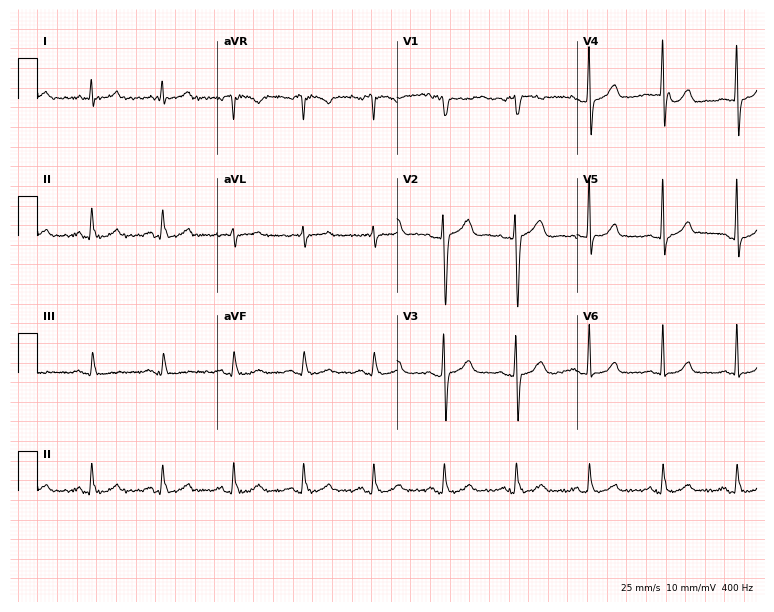
Electrocardiogram, a male patient, 61 years old. Overall reading on record: normal ECG.